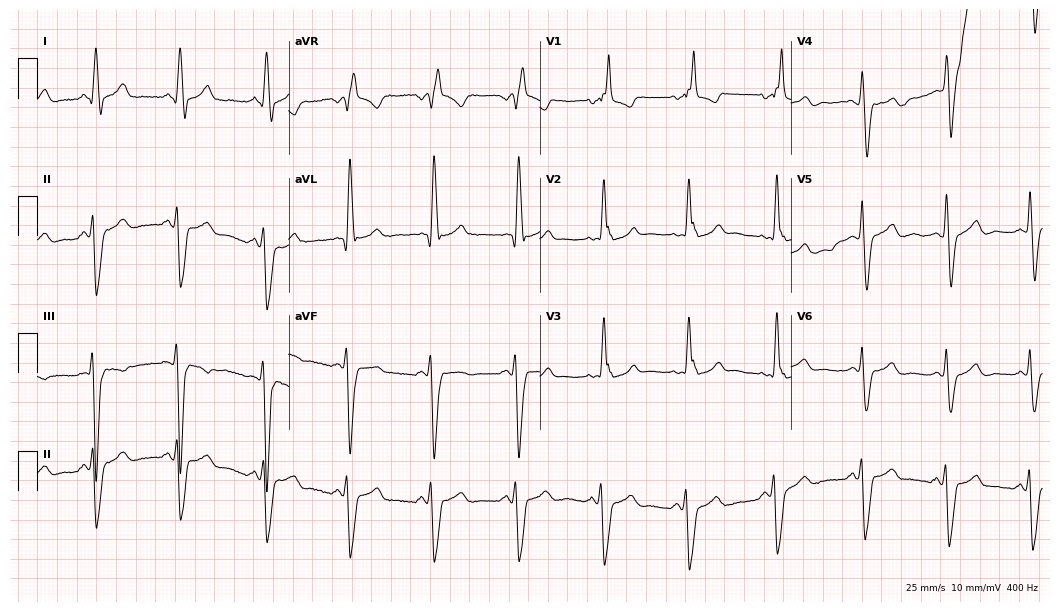
Standard 12-lead ECG recorded from a woman, 68 years old. The tracing shows right bundle branch block.